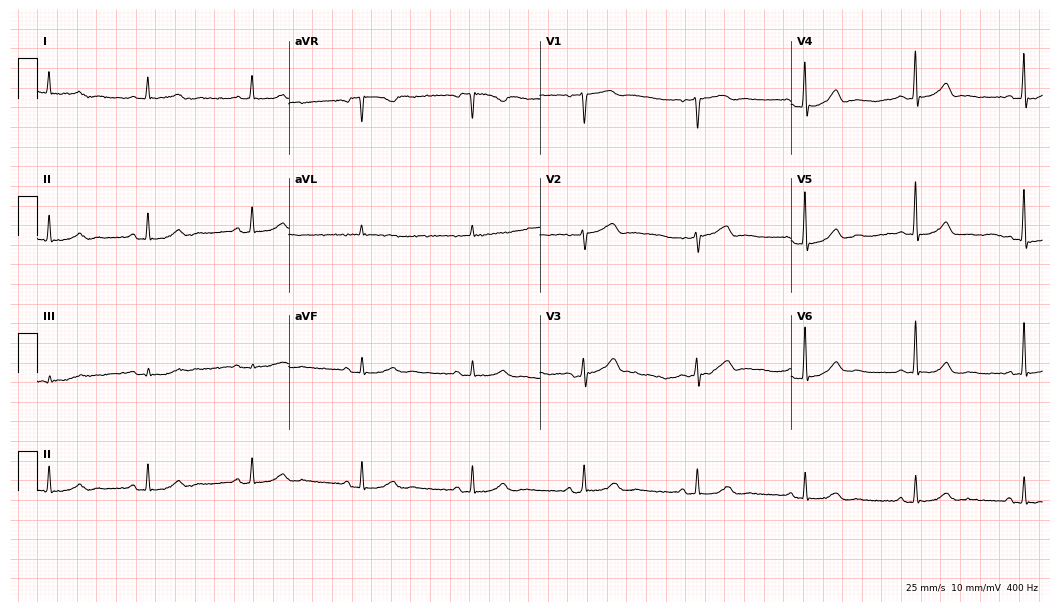
Resting 12-lead electrocardiogram (10.2-second recording at 400 Hz). Patient: a woman, 59 years old. None of these six findings is recorded: first-degree AV block, right bundle branch block, left bundle branch block, sinus bradycardia, atrial fibrillation, sinus tachycardia.